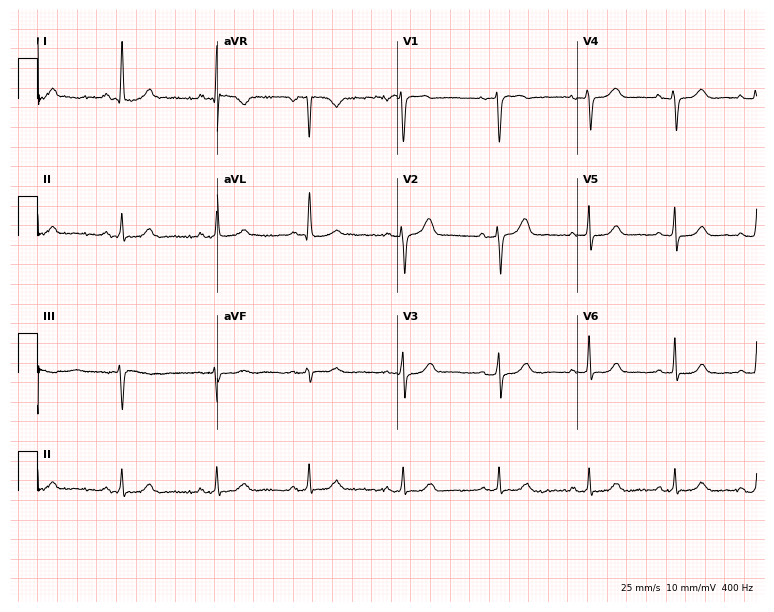
Electrocardiogram (7.3-second recording at 400 Hz), a female patient, 71 years old. Of the six screened findings (first-degree AV block, right bundle branch block (RBBB), left bundle branch block (LBBB), sinus bradycardia, atrial fibrillation (AF), sinus tachycardia), none is recorded.